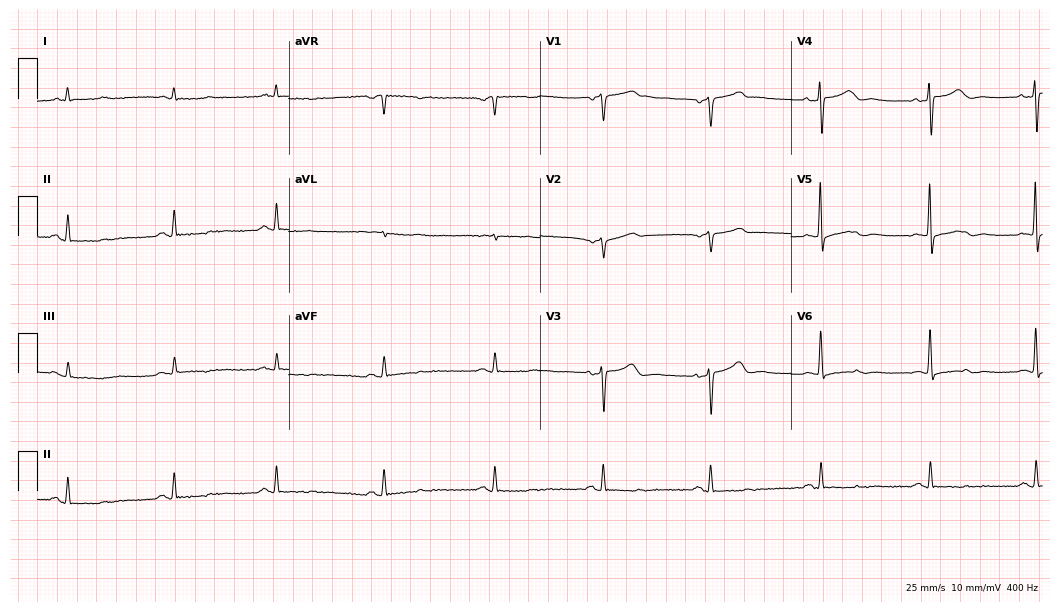
12-lead ECG from an 80-year-old male. No first-degree AV block, right bundle branch block, left bundle branch block, sinus bradycardia, atrial fibrillation or sinus tachycardia recorded for this tracing. Other findings, if any, are not listed.